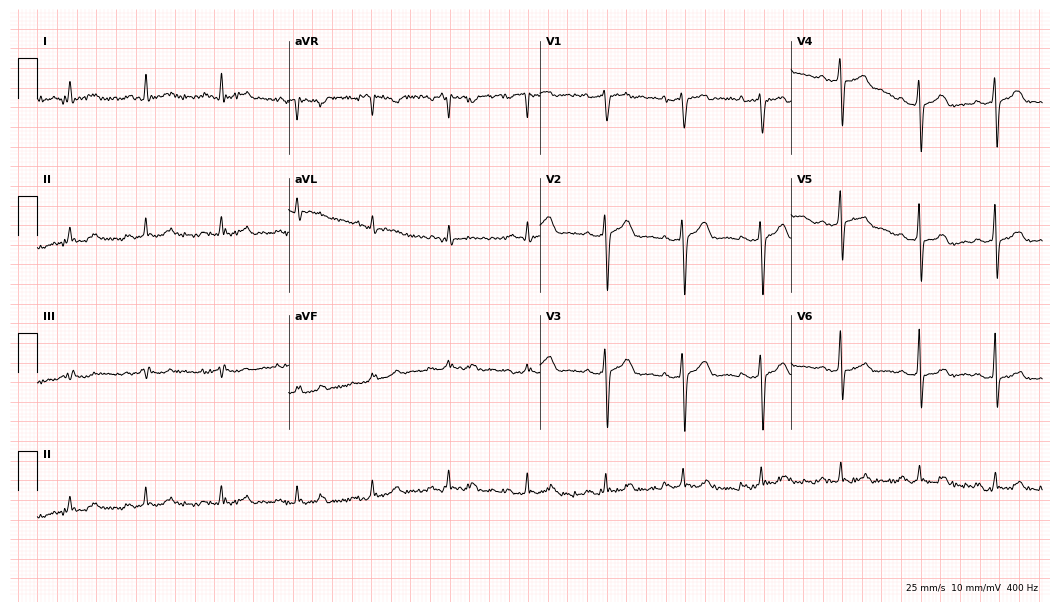
Standard 12-lead ECG recorded from a 50-year-old man. Read as a normal ECG.